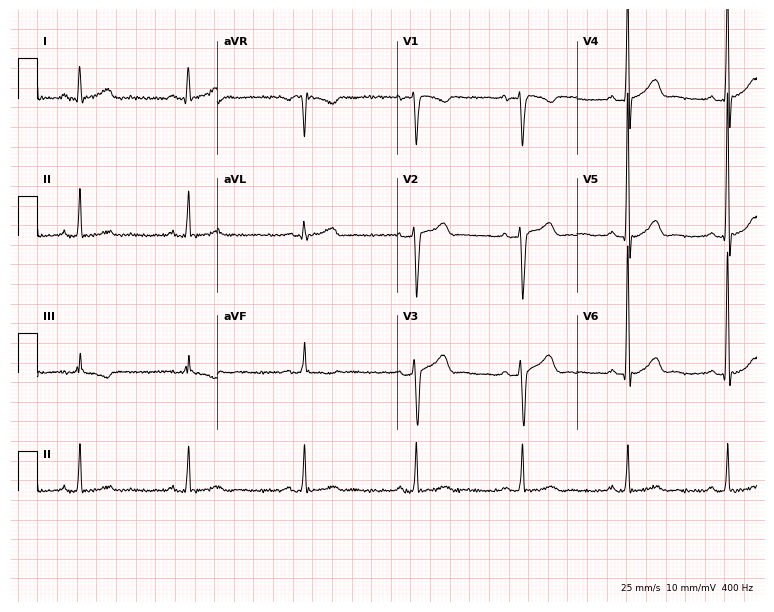
Resting 12-lead electrocardiogram (7.3-second recording at 400 Hz). Patient: a male, 42 years old. Read as a normal ECG.